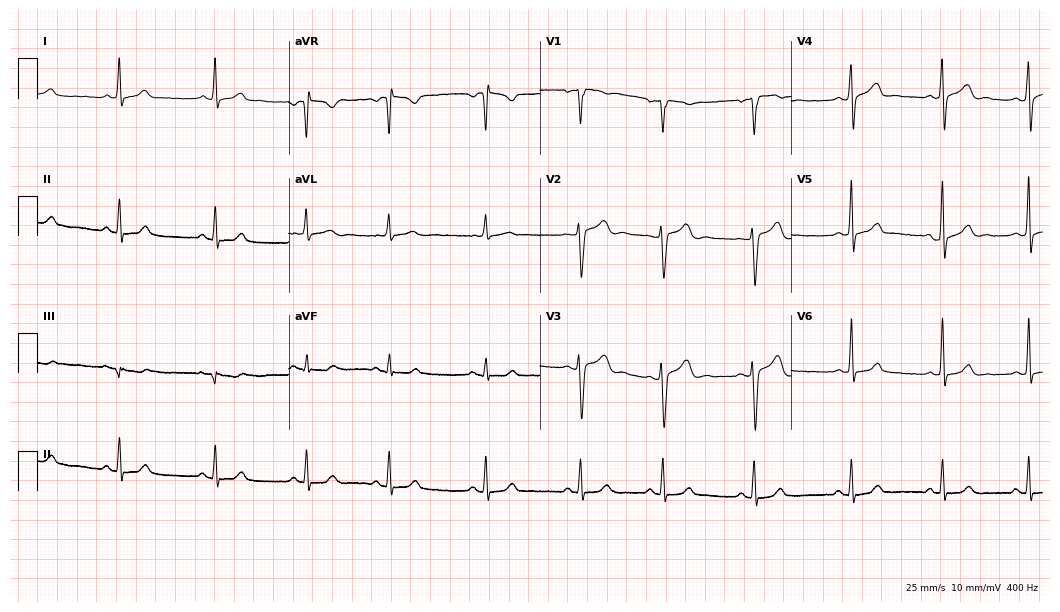
12-lead ECG (10.2-second recording at 400 Hz) from a female patient, 31 years old. Labelled as a normal ECG.